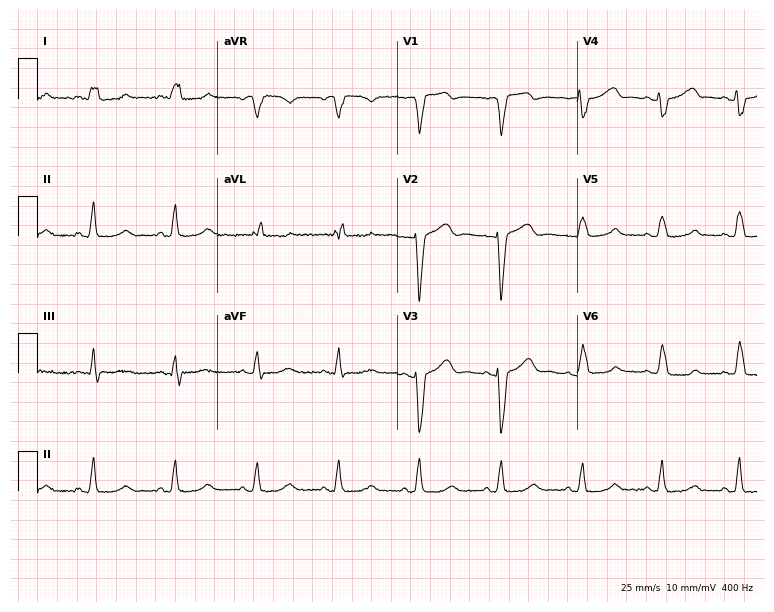
ECG — a female, 86 years old. Findings include left bundle branch block.